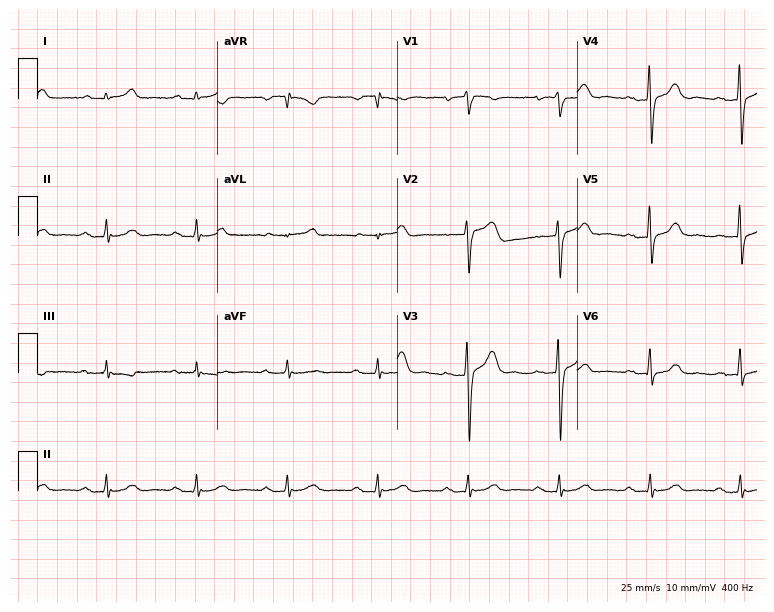
12-lead ECG from a male patient, 68 years old. No first-degree AV block, right bundle branch block (RBBB), left bundle branch block (LBBB), sinus bradycardia, atrial fibrillation (AF) or sinus tachycardia recorded for this tracing.